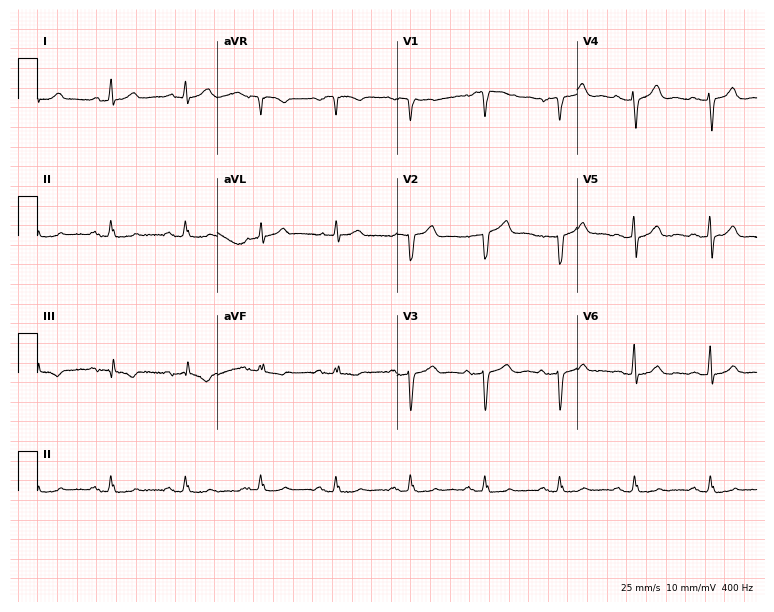
Electrocardiogram (7.3-second recording at 400 Hz), a male, 68 years old. Of the six screened findings (first-degree AV block, right bundle branch block (RBBB), left bundle branch block (LBBB), sinus bradycardia, atrial fibrillation (AF), sinus tachycardia), none is recorded.